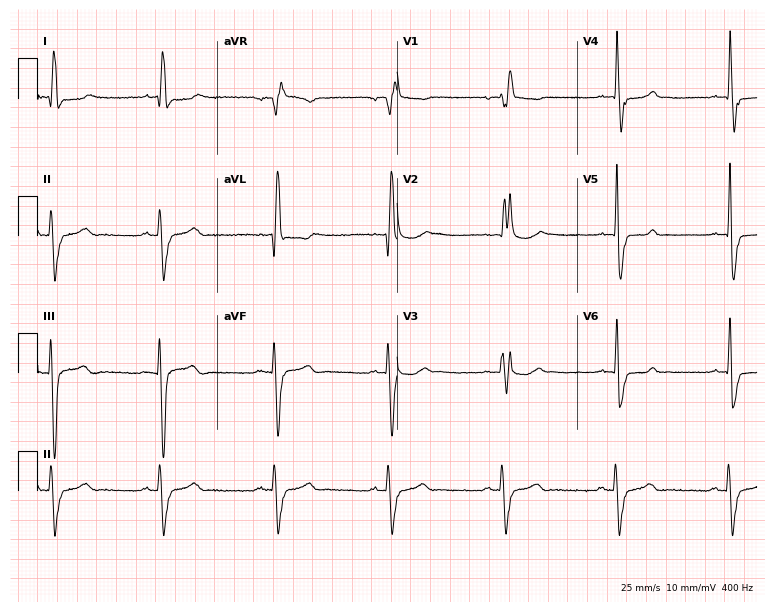
12-lead ECG from a female, 83 years old. Shows right bundle branch block.